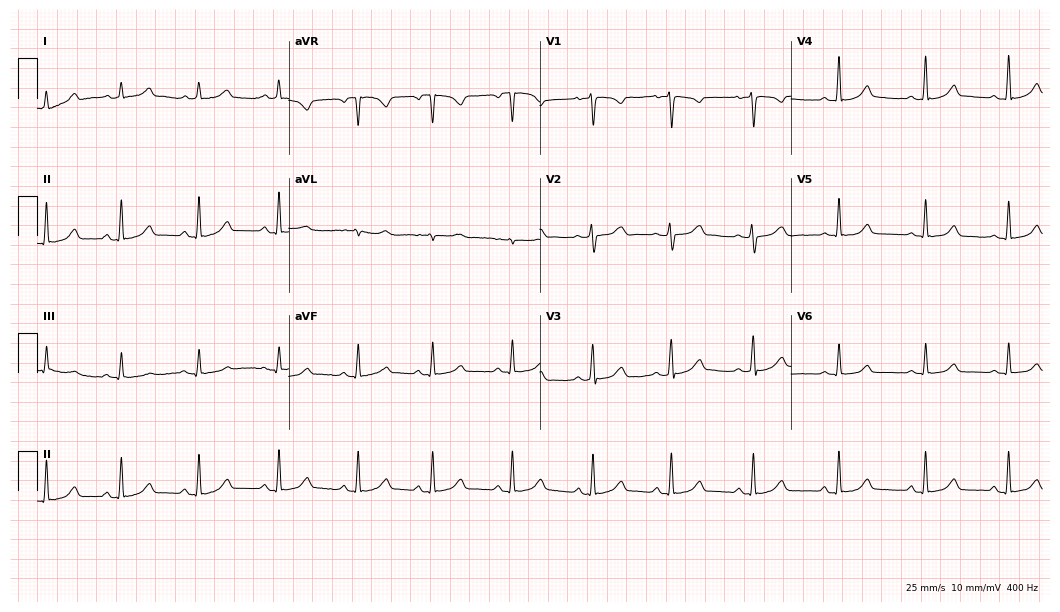
12-lead ECG from a woman, 17 years old (10.2-second recording at 400 Hz). Recorded interpretation: within normal limits.